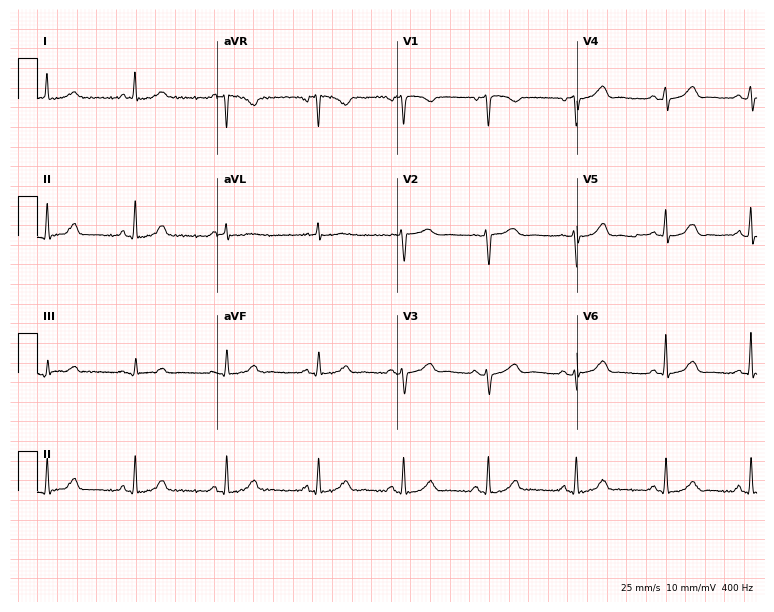
12-lead ECG from a female patient, 33 years old (7.3-second recording at 400 Hz). Recorded interpretation: within normal limits.